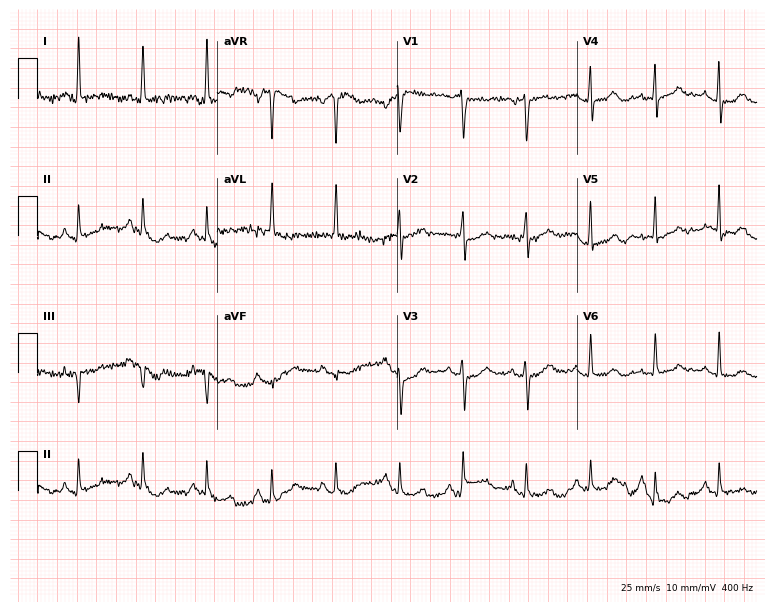
ECG — a 69-year-old female patient. Screened for six findings — first-degree AV block, right bundle branch block, left bundle branch block, sinus bradycardia, atrial fibrillation, sinus tachycardia — none is recorded. Only these six findings were labelled.